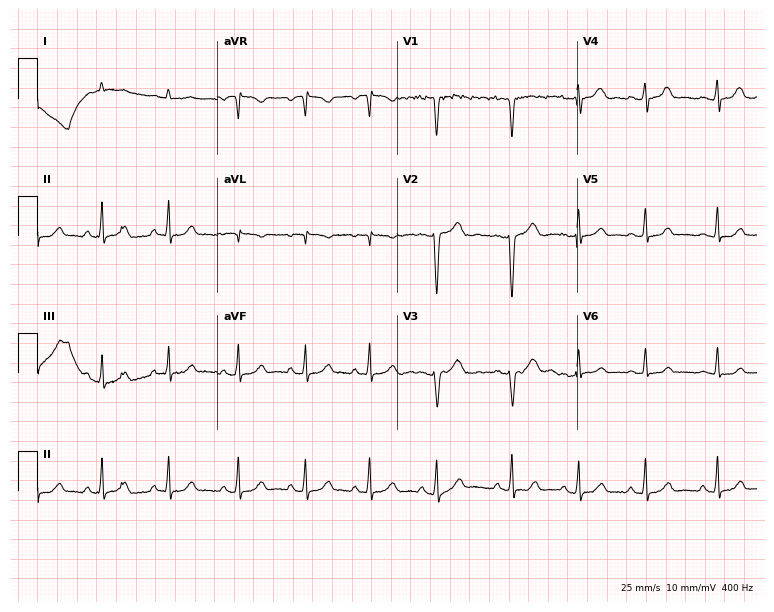
Electrocardiogram, a female, 17 years old. Of the six screened findings (first-degree AV block, right bundle branch block (RBBB), left bundle branch block (LBBB), sinus bradycardia, atrial fibrillation (AF), sinus tachycardia), none is recorded.